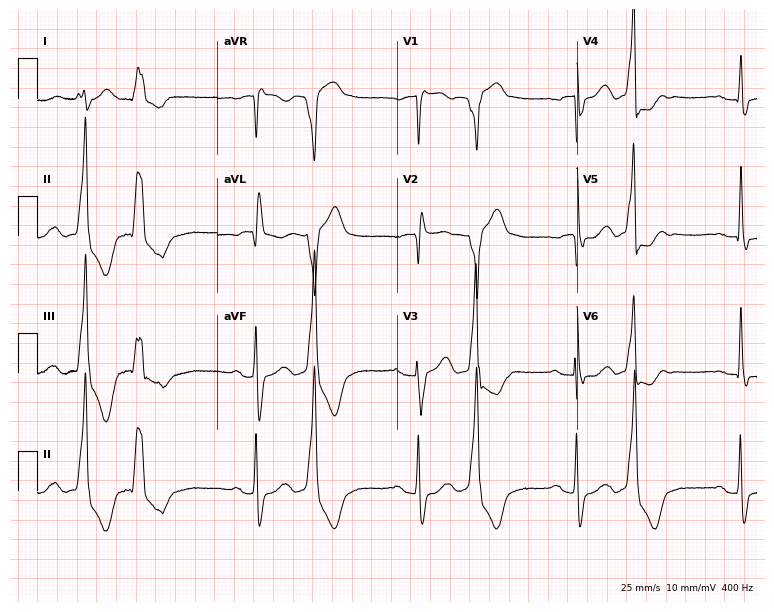
12-lead ECG from a male, 84 years old. Screened for six findings — first-degree AV block, right bundle branch block, left bundle branch block, sinus bradycardia, atrial fibrillation, sinus tachycardia — none is recorded.